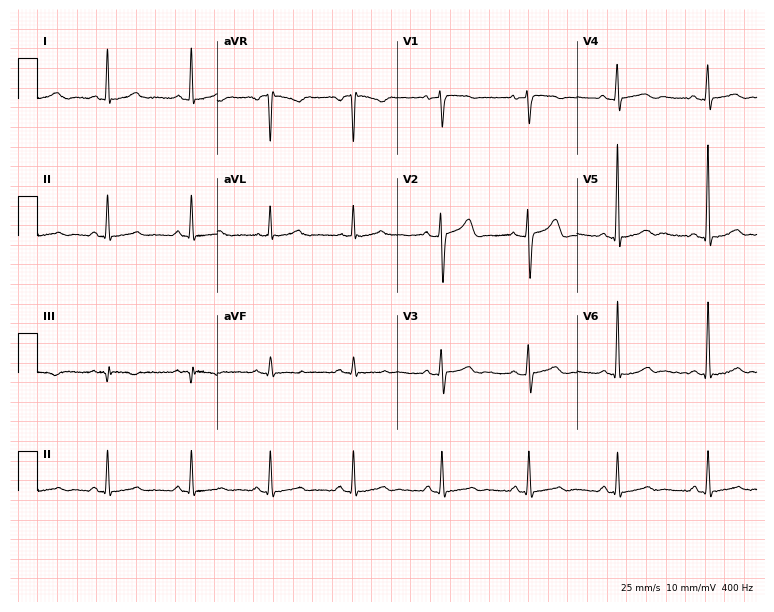
Resting 12-lead electrocardiogram (7.3-second recording at 400 Hz). Patient: a 38-year-old man. Read as a normal ECG.